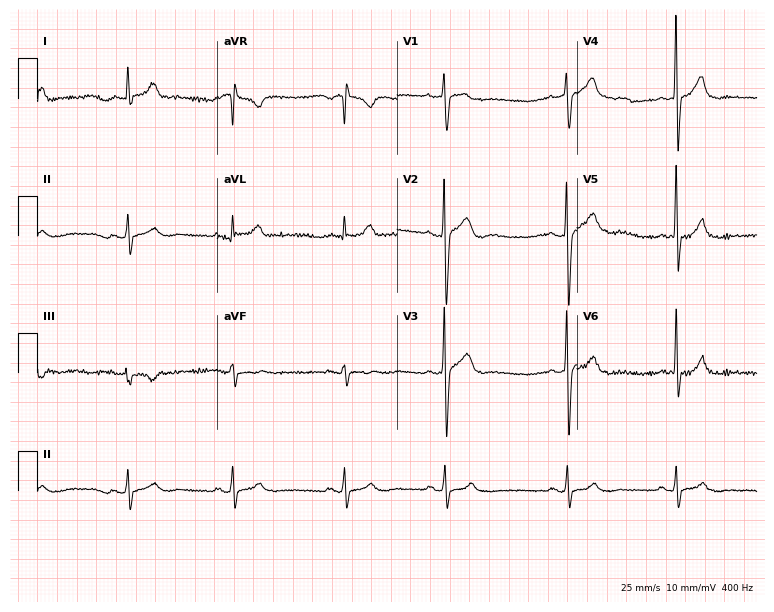
Resting 12-lead electrocardiogram (7.3-second recording at 400 Hz). Patient: a male, 35 years old. None of these six findings is recorded: first-degree AV block, right bundle branch block, left bundle branch block, sinus bradycardia, atrial fibrillation, sinus tachycardia.